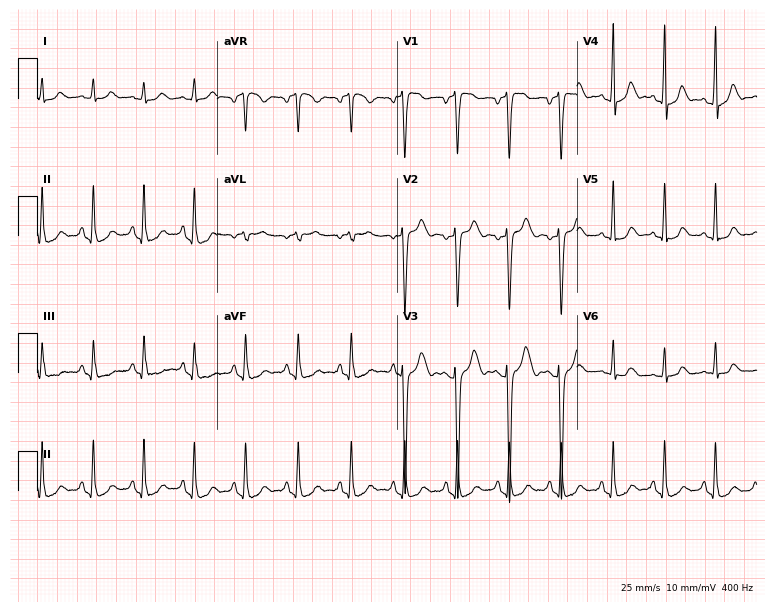
Resting 12-lead electrocardiogram (7.3-second recording at 400 Hz). Patient: a female, 27 years old. The tracing shows sinus tachycardia (a sinus rate of 100 beats per minute or more).